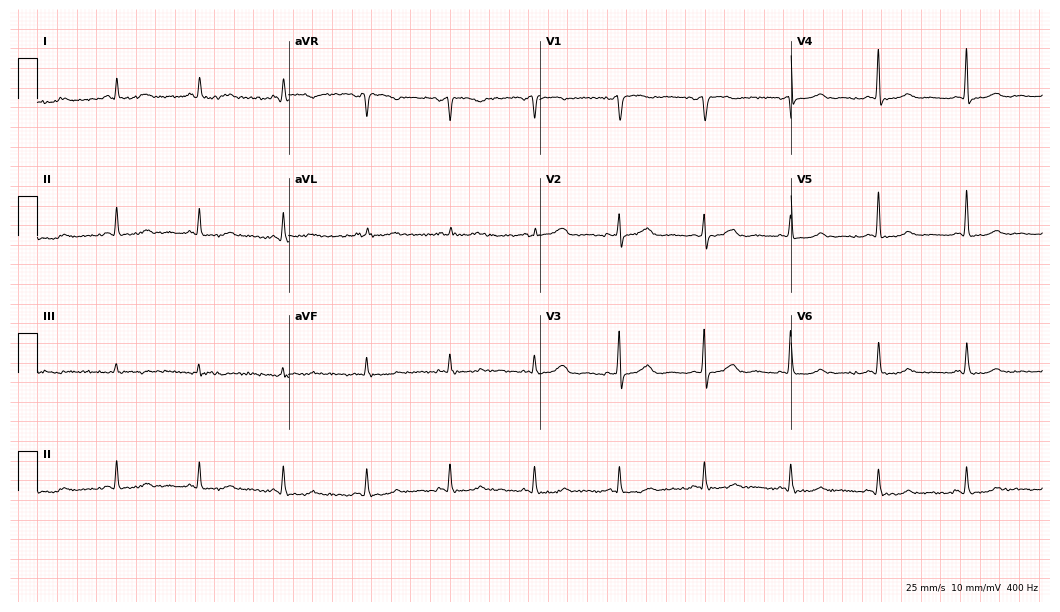
Resting 12-lead electrocardiogram (10.2-second recording at 400 Hz). Patient: a female, 78 years old. None of these six findings is recorded: first-degree AV block, right bundle branch block, left bundle branch block, sinus bradycardia, atrial fibrillation, sinus tachycardia.